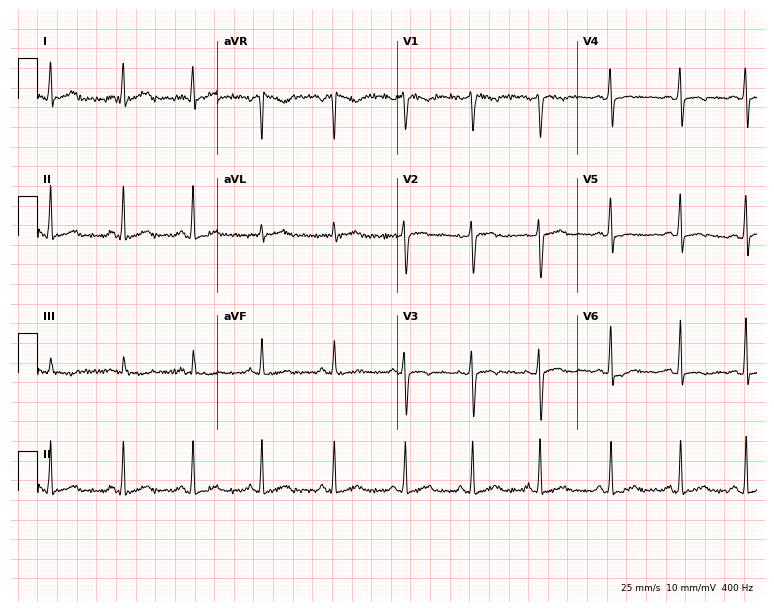
ECG — a female, 42 years old. Screened for six findings — first-degree AV block, right bundle branch block, left bundle branch block, sinus bradycardia, atrial fibrillation, sinus tachycardia — none is recorded.